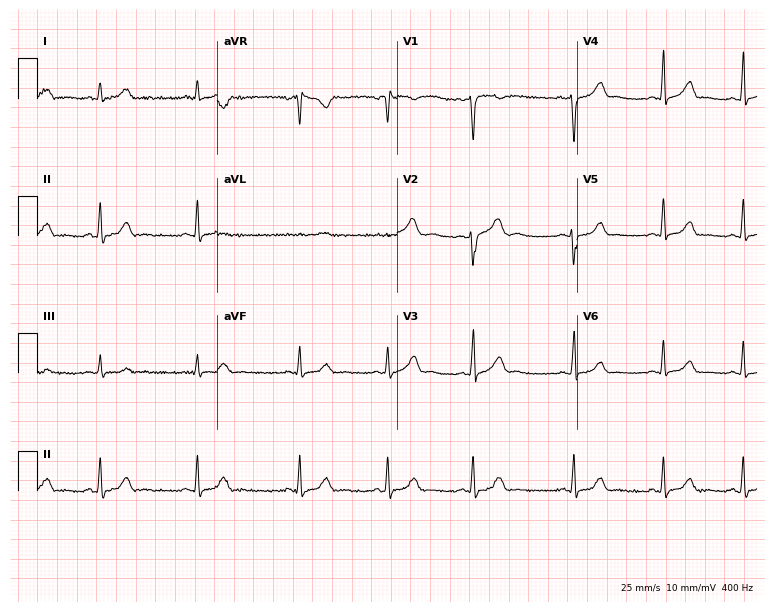
12-lead ECG from a woman, 23 years old. Screened for six findings — first-degree AV block, right bundle branch block, left bundle branch block, sinus bradycardia, atrial fibrillation, sinus tachycardia — none is recorded. Findings outside these six are not listed.